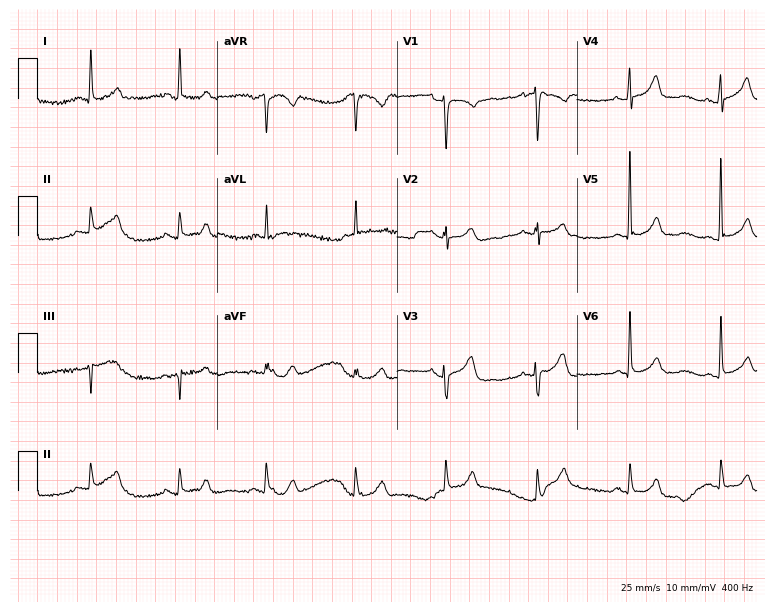
Electrocardiogram (7.3-second recording at 400 Hz), a 72-year-old female. Of the six screened findings (first-degree AV block, right bundle branch block (RBBB), left bundle branch block (LBBB), sinus bradycardia, atrial fibrillation (AF), sinus tachycardia), none is recorded. Findings outside these six are not listed.